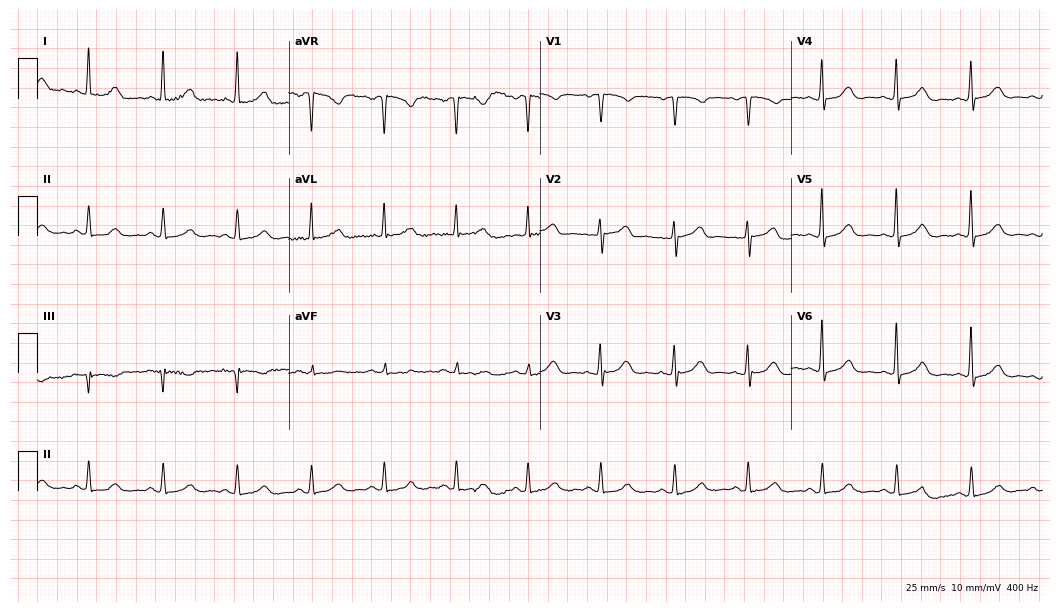
Resting 12-lead electrocardiogram (10.2-second recording at 400 Hz). Patient: a 67-year-old female. Read as a normal ECG.